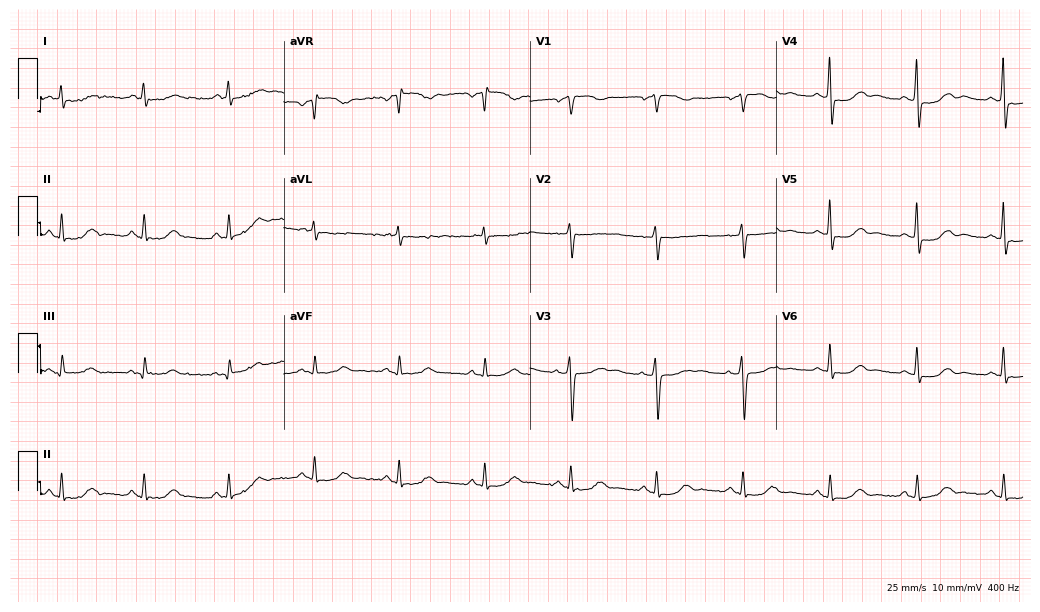
Standard 12-lead ECG recorded from a 60-year-old female (10-second recording at 400 Hz). Read as a normal ECG.